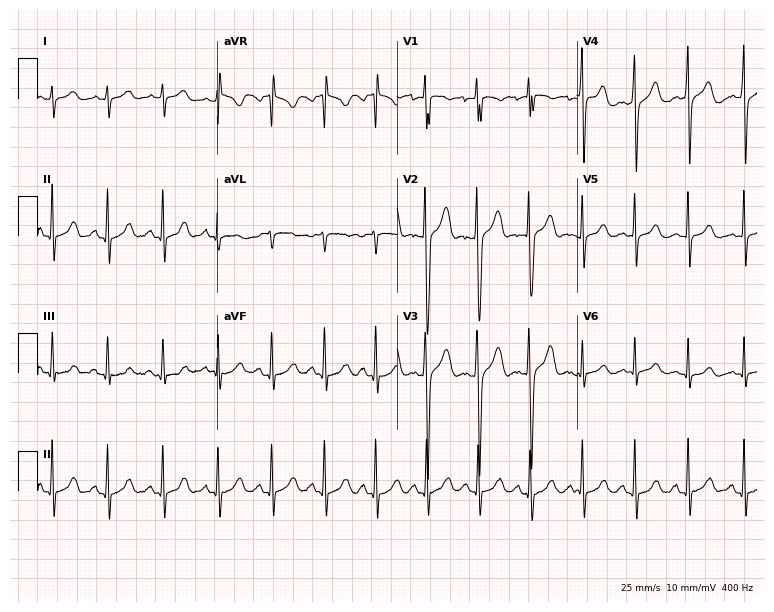
12-lead ECG from a male patient, 22 years old. Findings include sinus tachycardia (a sinus rate of 100 beats per minute or more).